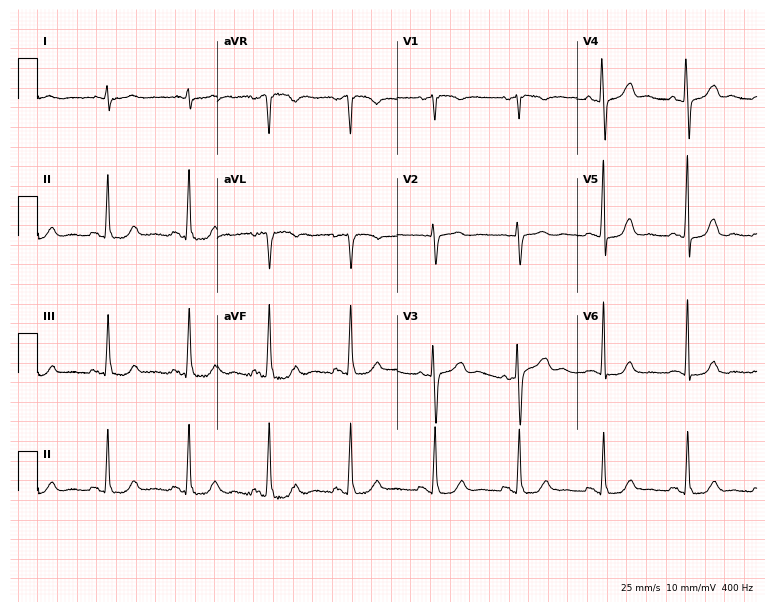
12-lead ECG from a 55-year-old female (7.3-second recording at 400 Hz). Recorded interpretation: within normal limits.